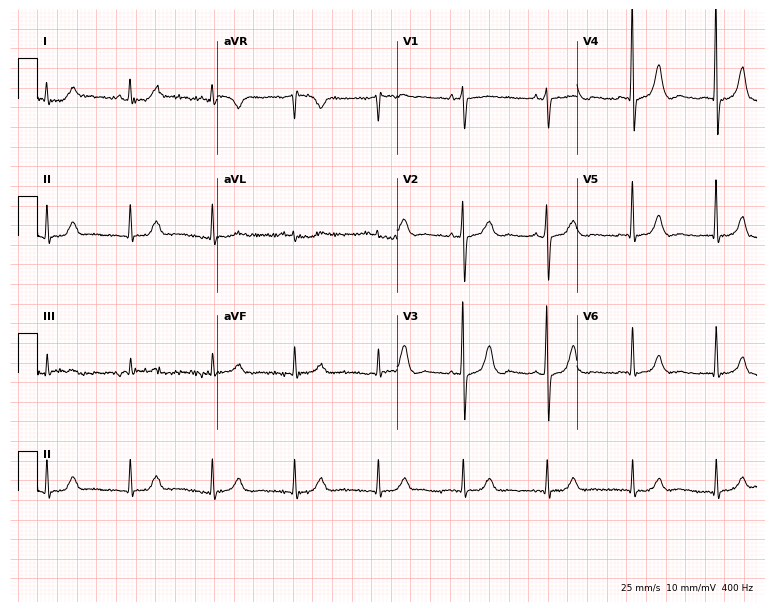
ECG — a female patient, 68 years old. Screened for six findings — first-degree AV block, right bundle branch block, left bundle branch block, sinus bradycardia, atrial fibrillation, sinus tachycardia — none is recorded. Only these six findings were labelled.